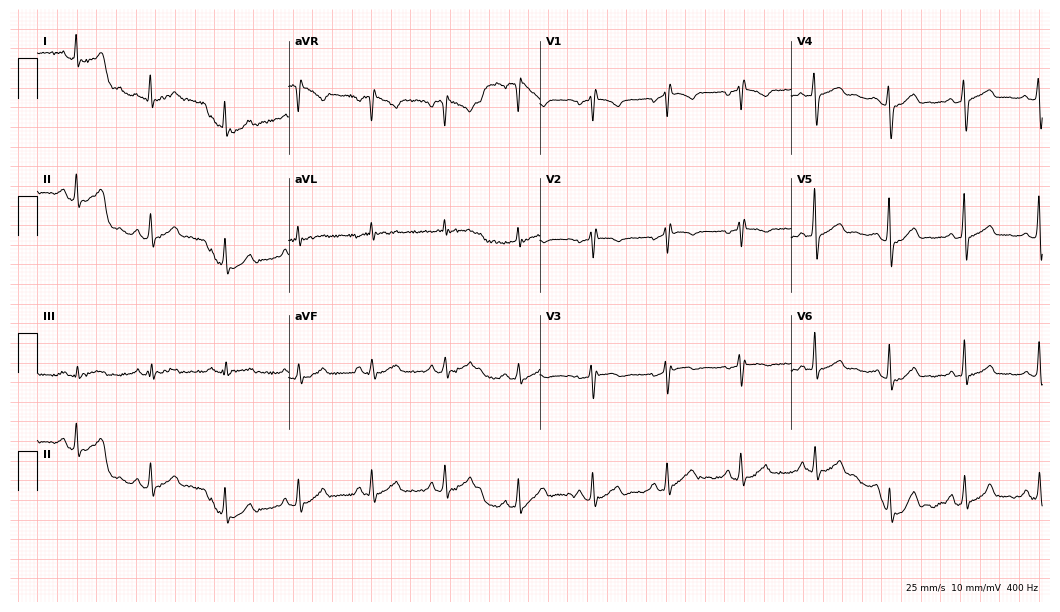
12-lead ECG from a 51-year-old female patient. Screened for six findings — first-degree AV block, right bundle branch block, left bundle branch block, sinus bradycardia, atrial fibrillation, sinus tachycardia — none is recorded.